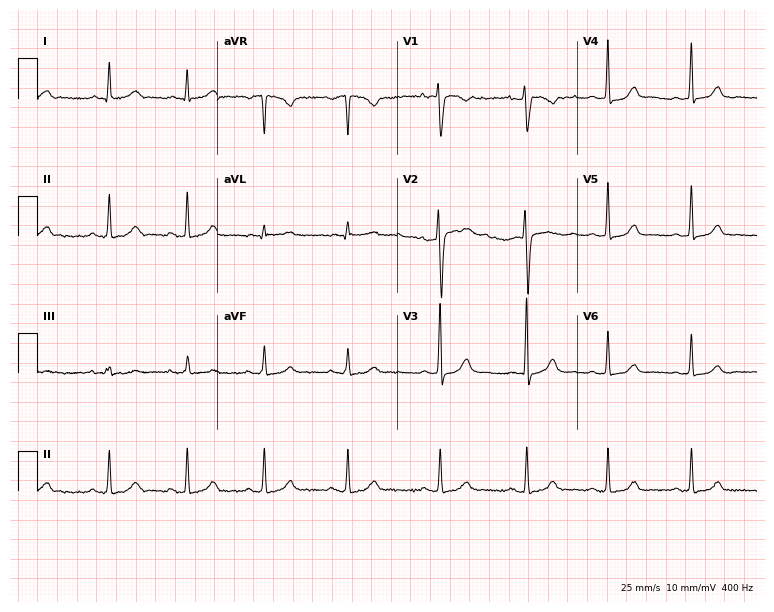
Resting 12-lead electrocardiogram (7.3-second recording at 400 Hz). Patient: a 35-year-old female. Read as a normal ECG.